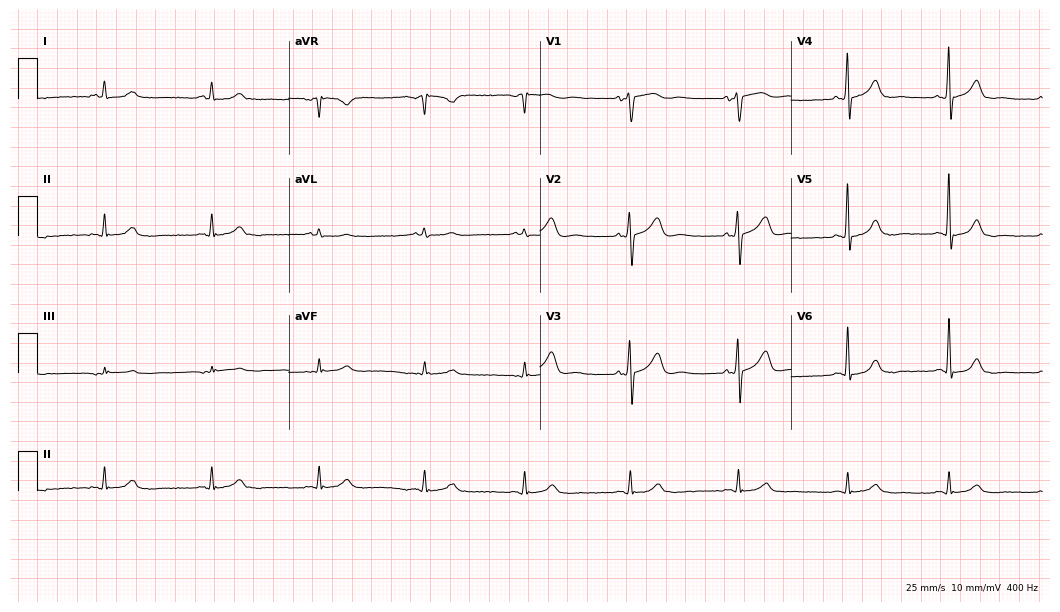
12-lead ECG from a male patient, 82 years old. Recorded interpretation: within normal limits.